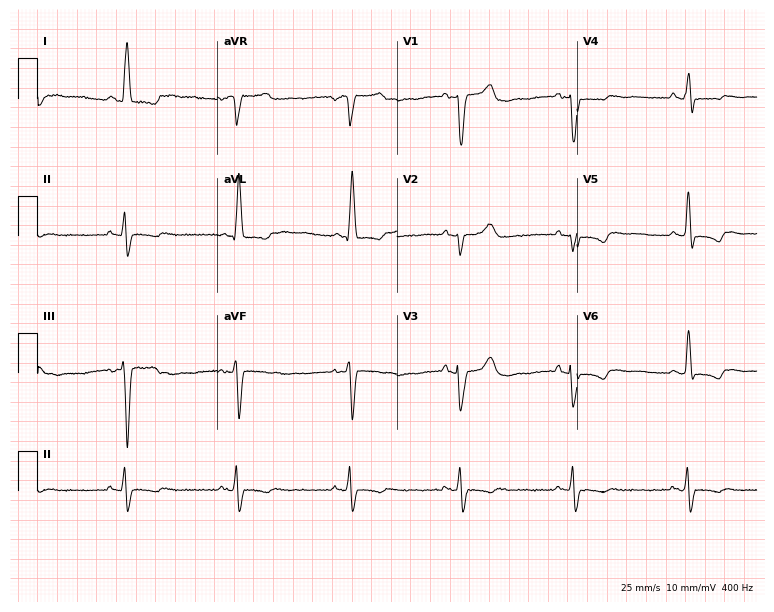
ECG — a female patient, 76 years old. Screened for six findings — first-degree AV block, right bundle branch block, left bundle branch block, sinus bradycardia, atrial fibrillation, sinus tachycardia — none is recorded. Only these six findings were labelled.